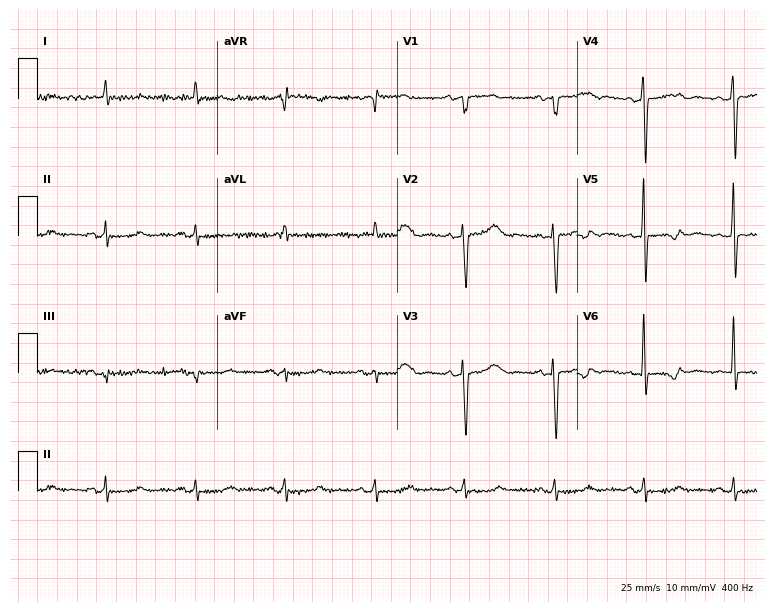
Standard 12-lead ECG recorded from a 76-year-old female patient. Read as a normal ECG.